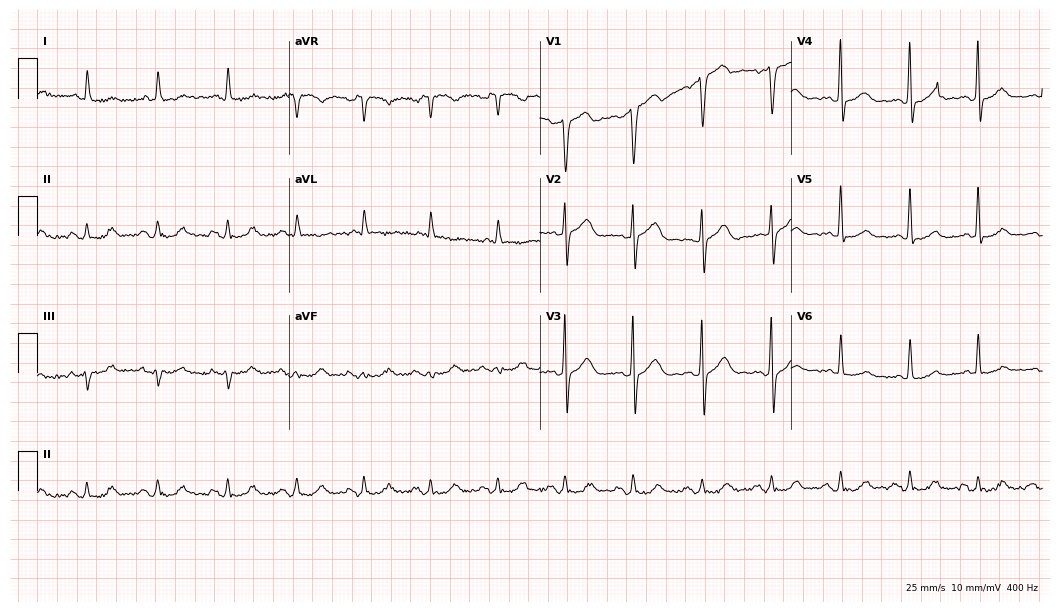
12-lead ECG (10.2-second recording at 400 Hz) from a female, 85 years old. Screened for six findings — first-degree AV block, right bundle branch block (RBBB), left bundle branch block (LBBB), sinus bradycardia, atrial fibrillation (AF), sinus tachycardia — none is recorded.